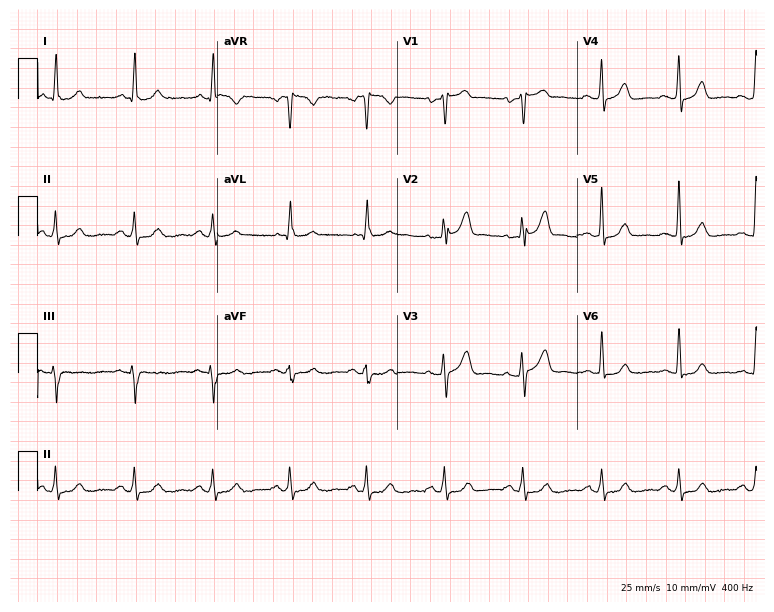
12-lead ECG (7.3-second recording at 400 Hz) from a male, 57 years old. Labelled as a normal ECG.